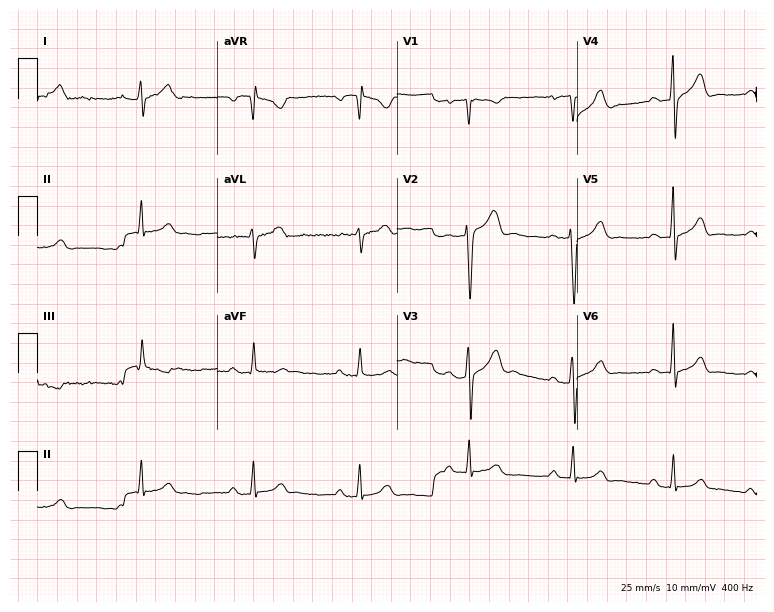
ECG (7.3-second recording at 400 Hz) — a man, 26 years old. Findings include first-degree AV block.